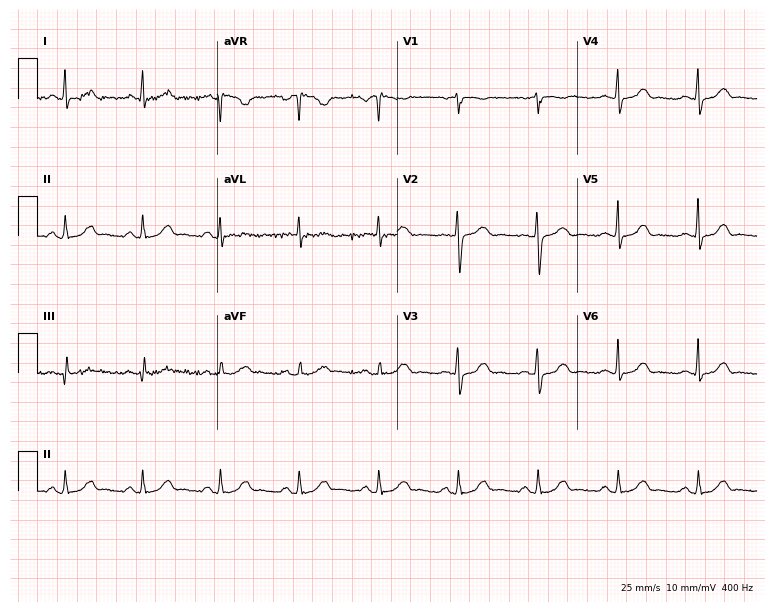
12-lead ECG from a 41-year-old female patient (7.3-second recording at 400 Hz). Recorded interpretation: within normal limits.